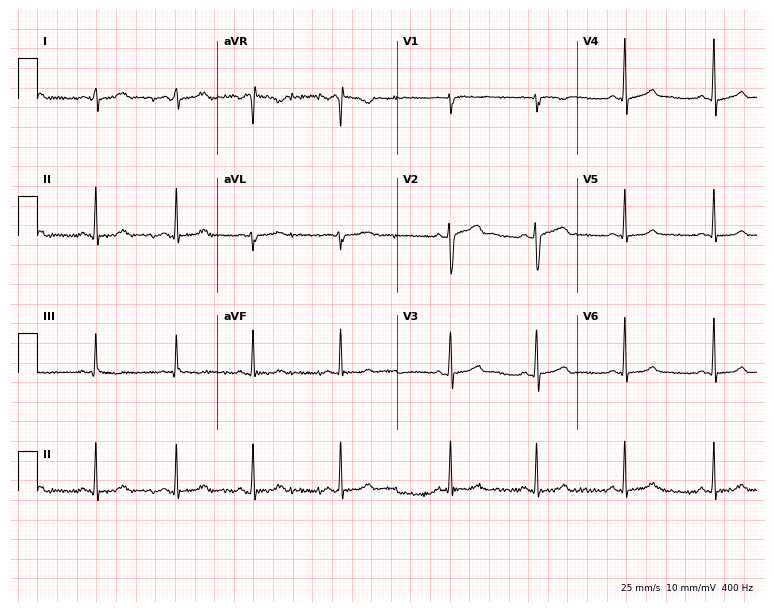
Standard 12-lead ECG recorded from a 19-year-old female. Read as a normal ECG.